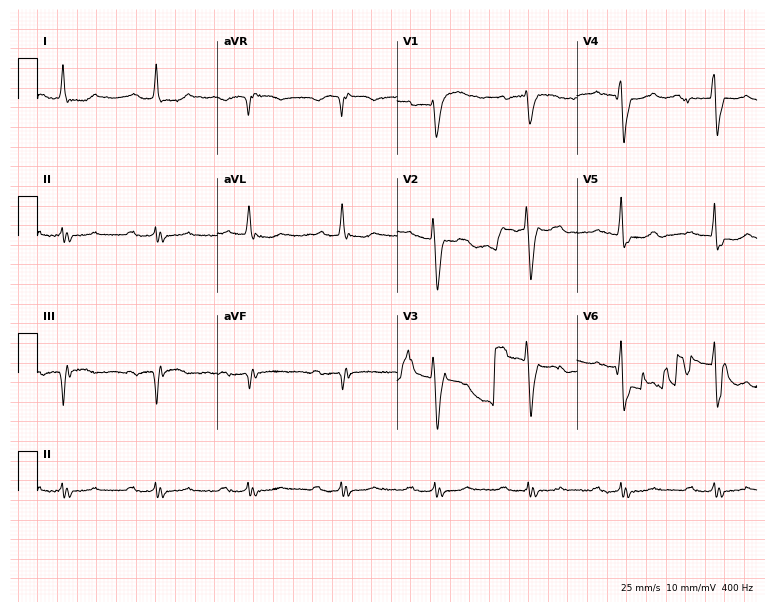
Resting 12-lead electrocardiogram. Patient: a woman, 83 years old. None of these six findings is recorded: first-degree AV block, right bundle branch block, left bundle branch block, sinus bradycardia, atrial fibrillation, sinus tachycardia.